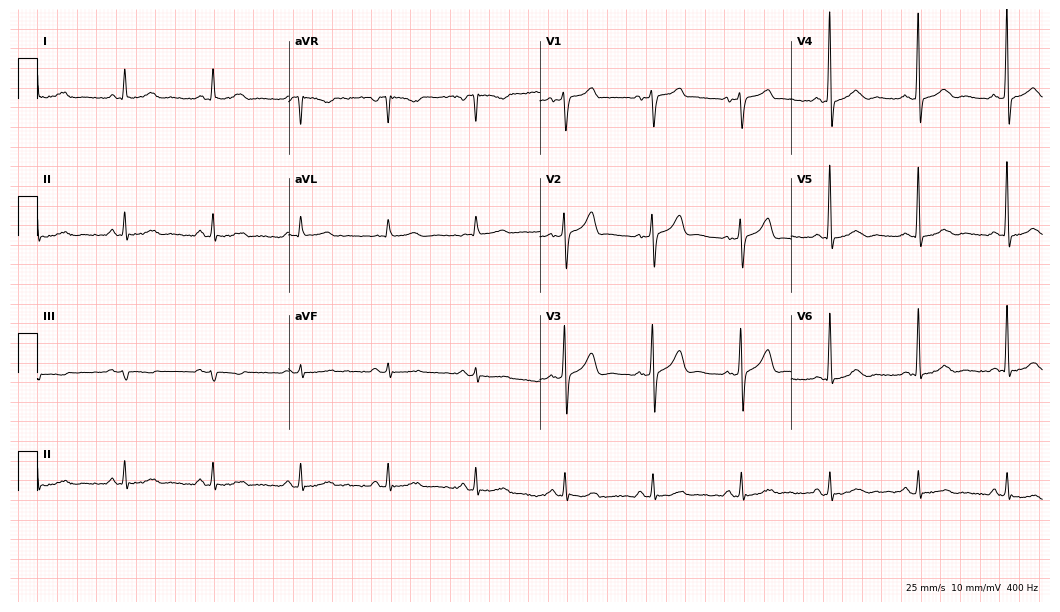
Resting 12-lead electrocardiogram (10.2-second recording at 400 Hz). Patient: a 66-year-old male. None of these six findings is recorded: first-degree AV block, right bundle branch block, left bundle branch block, sinus bradycardia, atrial fibrillation, sinus tachycardia. Other findings, if any, are not listed.